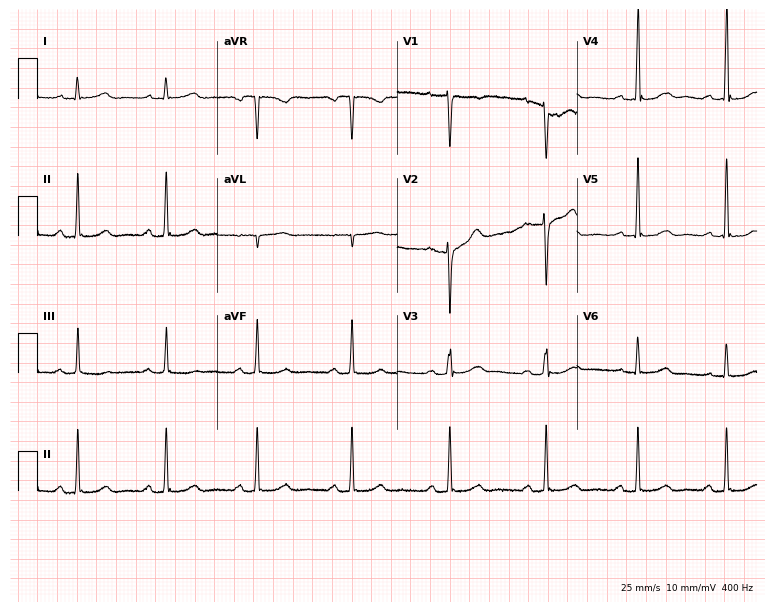
Resting 12-lead electrocardiogram. Patient: a 36-year-old female. The tracing shows first-degree AV block.